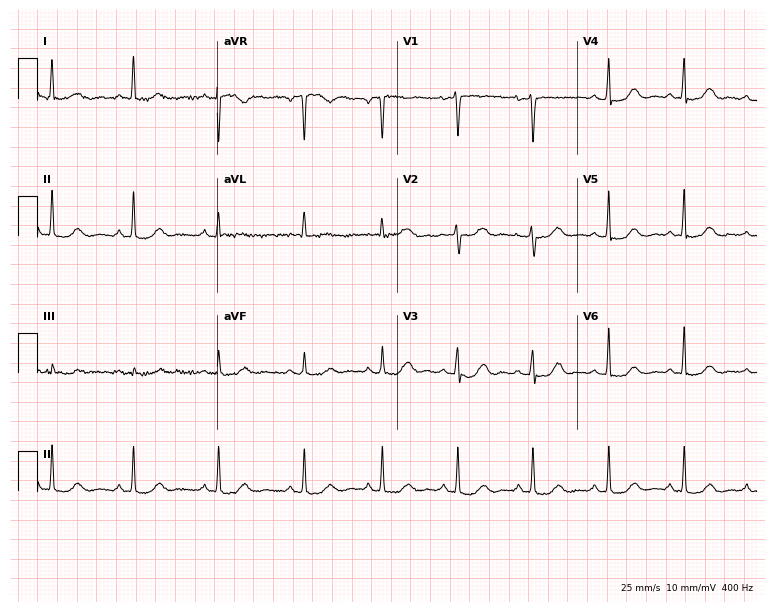
Electrocardiogram, a female, 66 years old. Overall reading on record: normal ECG.